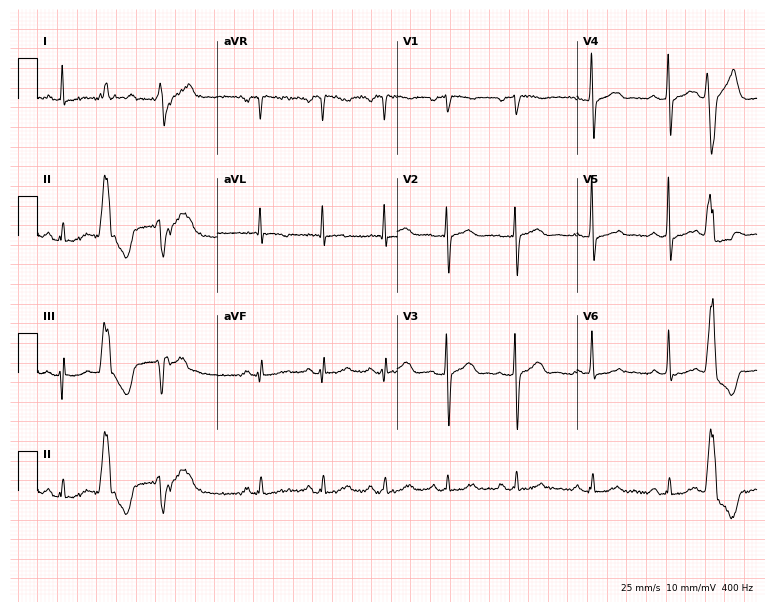
Resting 12-lead electrocardiogram (7.3-second recording at 400 Hz). Patient: a male, 50 years old. None of these six findings is recorded: first-degree AV block, right bundle branch block, left bundle branch block, sinus bradycardia, atrial fibrillation, sinus tachycardia. Findings outside these six are not listed.